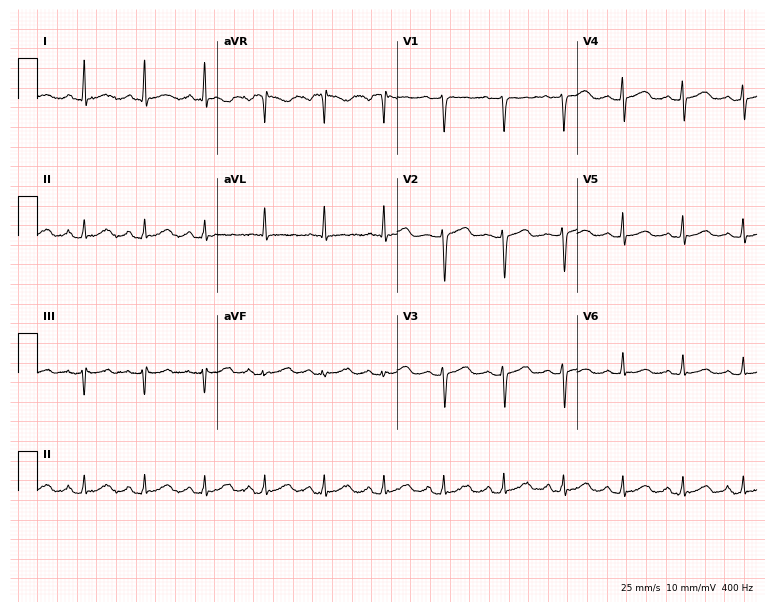
ECG — a 47-year-old woman. Screened for six findings — first-degree AV block, right bundle branch block, left bundle branch block, sinus bradycardia, atrial fibrillation, sinus tachycardia — none is recorded.